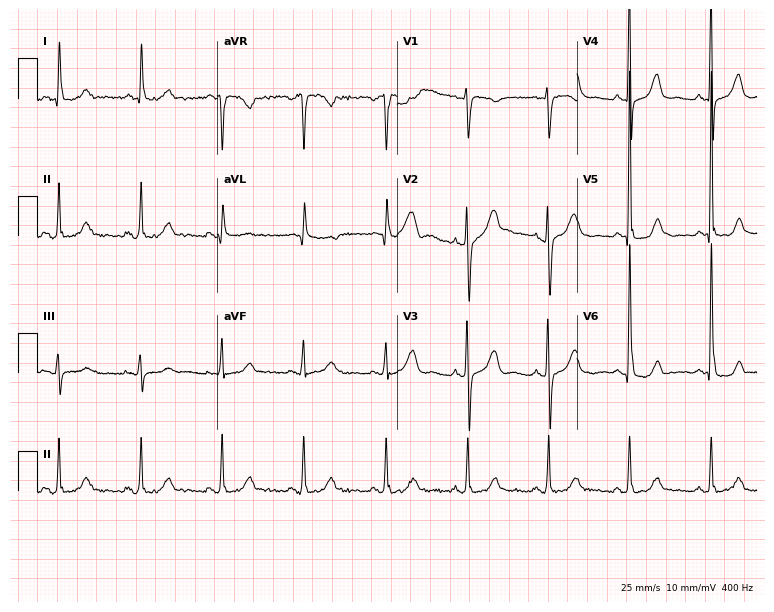
12-lead ECG from a 68-year-old female. Screened for six findings — first-degree AV block, right bundle branch block, left bundle branch block, sinus bradycardia, atrial fibrillation, sinus tachycardia — none is recorded. Other findings, if any, are not listed.